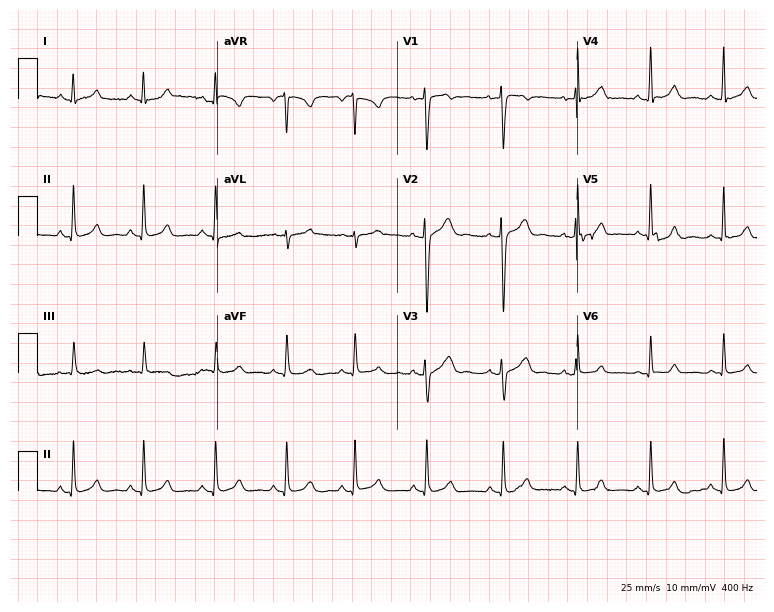
Electrocardiogram (7.3-second recording at 400 Hz), an 18-year-old female. Overall reading on record: normal ECG.